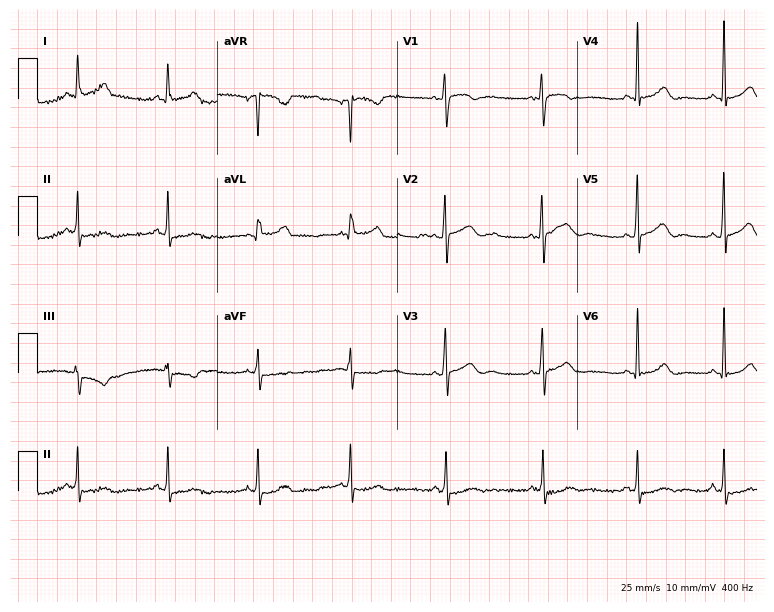
Resting 12-lead electrocardiogram. Patient: a 49-year-old woman. None of these six findings is recorded: first-degree AV block, right bundle branch block, left bundle branch block, sinus bradycardia, atrial fibrillation, sinus tachycardia.